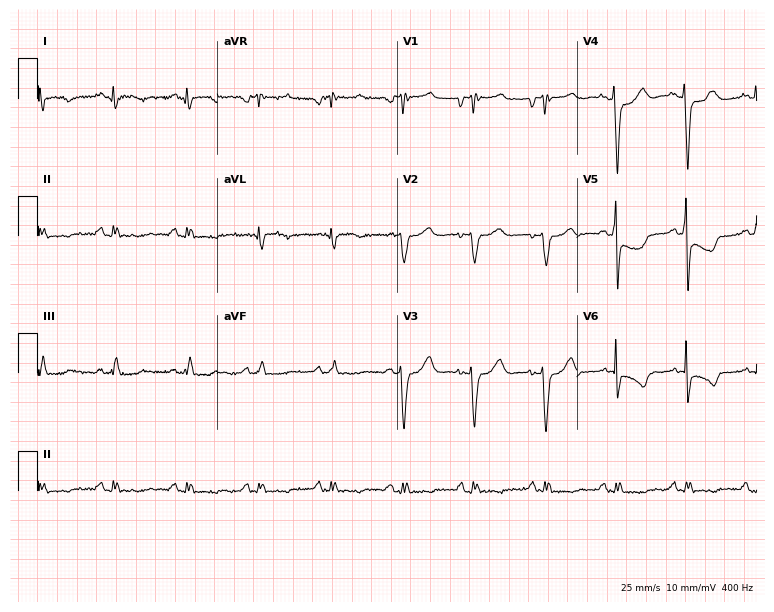
Standard 12-lead ECG recorded from a 55-year-old male patient. None of these six findings is recorded: first-degree AV block, right bundle branch block, left bundle branch block, sinus bradycardia, atrial fibrillation, sinus tachycardia.